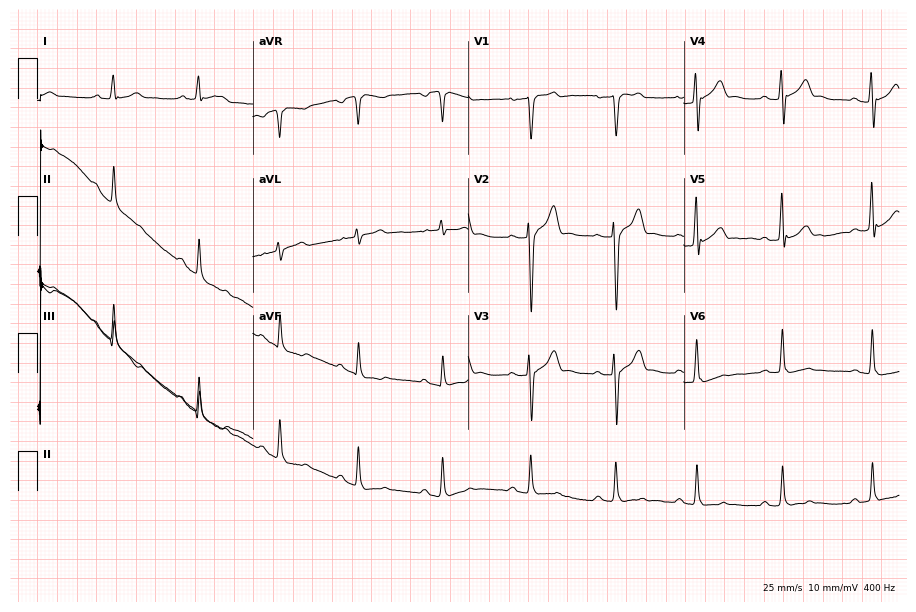
ECG (8.8-second recording at 400 Hz) — a 24-year-old male. Screened for six findings — first-degree AV block, right bundle branch block (RBBB), left bundle branch block (LBBB), sinus bradycardia, atrial fibrillation (AF), sinus tachycardia — none is recorded. Only these six findings were labelled.